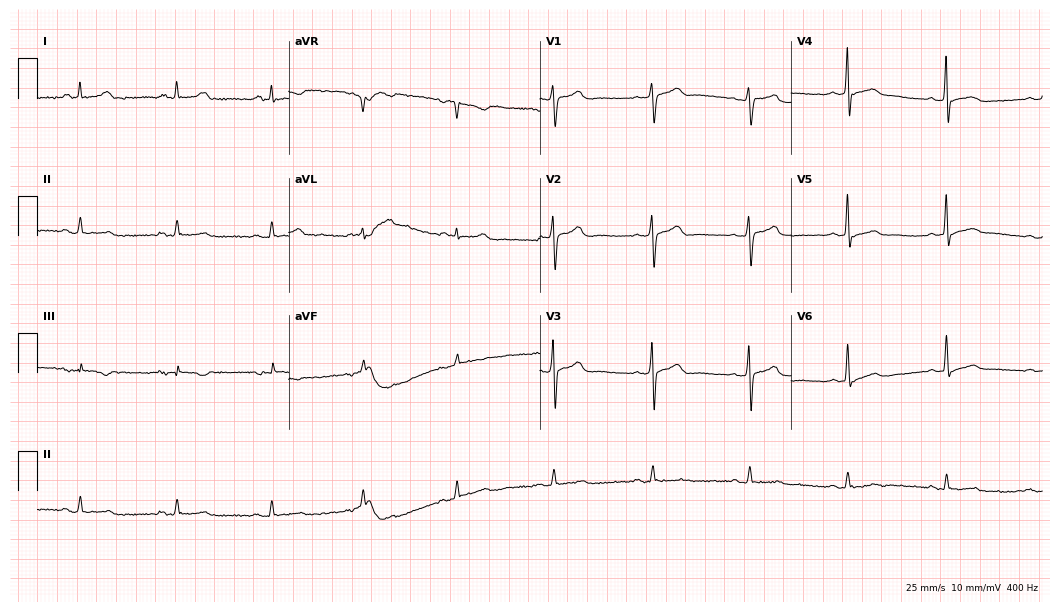
12-lead ECG (10.2-second recording at 400 Hz) from a man, 38 years old. Screened for six findings — first-degree AV block, right bundle branch block, left bundle branch block, sinus bradycardia, atrial fibrillation, sinus tachycardia — none is recorded. Only these six findings were labelled.